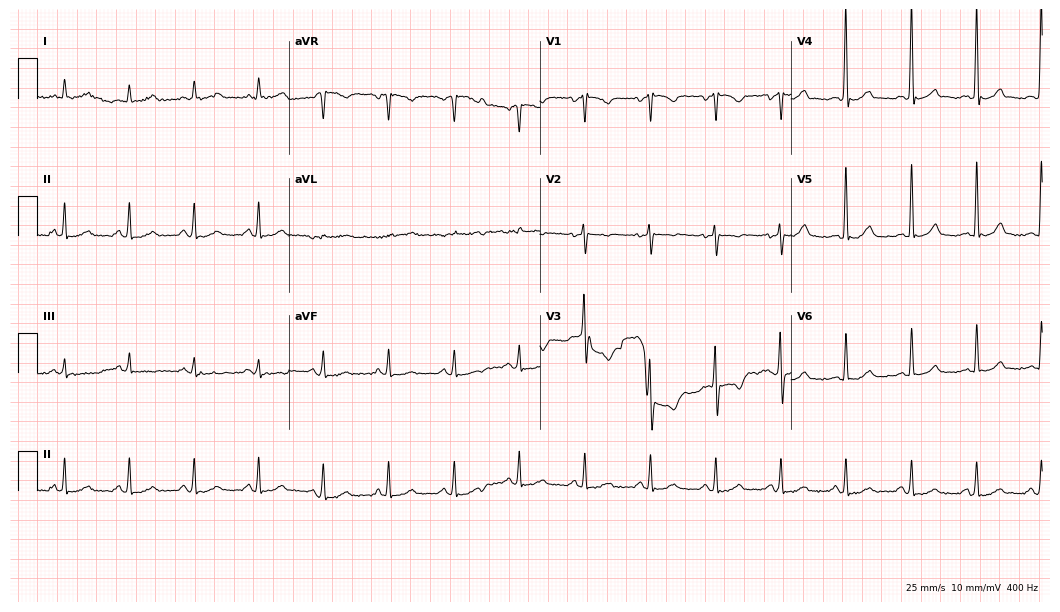
Standard 12-lead ECG recorded from a 77-year-old man (10.2-second recording at 400 Hz). None of these six findings is recorded: first-degree AV block, right bundle branch block (RBBB), left bundle branch block (LBBB), sinus bradycardia, atrial fibrillation (AF), sinus tachycardia.